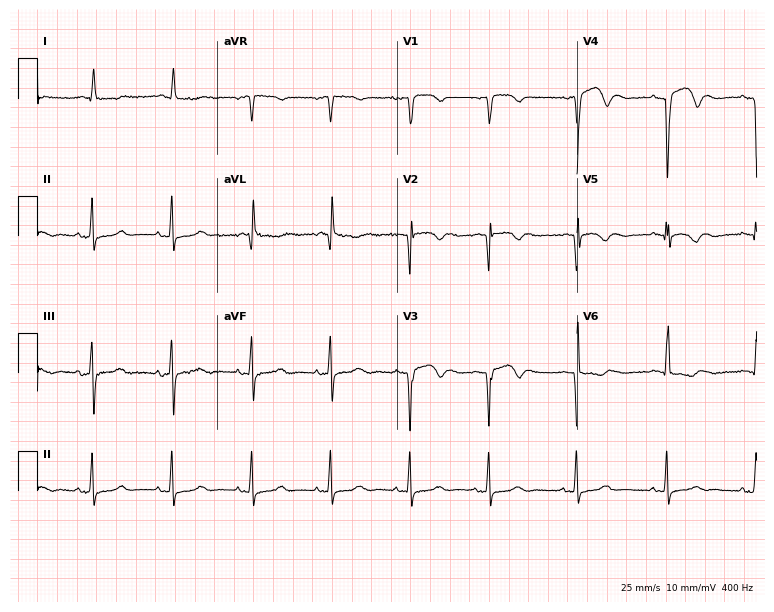
12-lead ECG from a 79-year-old female patient. Screened for six findings — first-degree AV block, right bundle branch block, left bundle branch block, sinus bradycardia, atrial fibrillation, sinus tachycardia — none is recorded. Other findings, if any, are not listed.